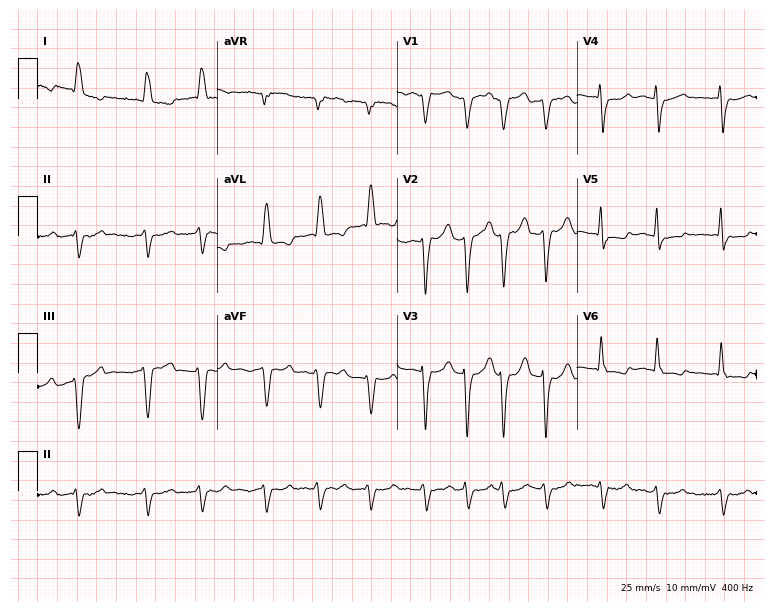
Standard 12-lead ECG recorded from a female patient, 80 years old (7.3-second recording at 400 Hz). The tracing shows atrial fibrillation.